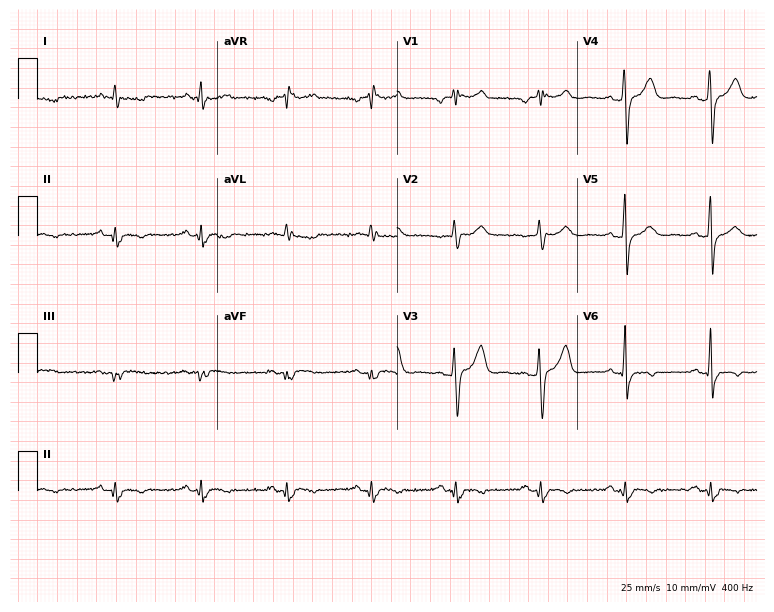
Resting 12-lead electrocardiogram. Patient: a male, 51 years old. The tracing shows right bundle branch block.